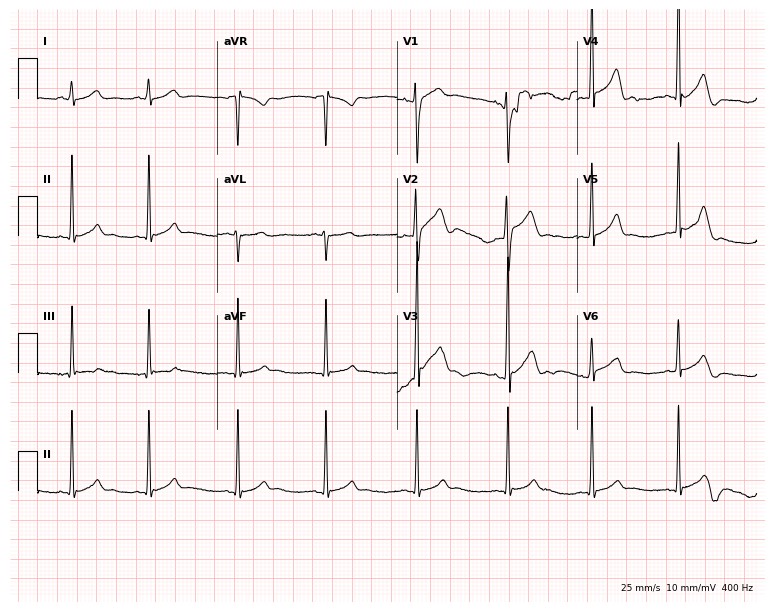
Resting 12-lead electrocardiogram (7.3-second recording at 400 Hz). Patient: a 19-year-old man. None of these six findings is recorded: first-degree AV block, right bundle branch block, left bundle branch block, sinus bradycardia, atrial fibrillation, sinus tachycardia.